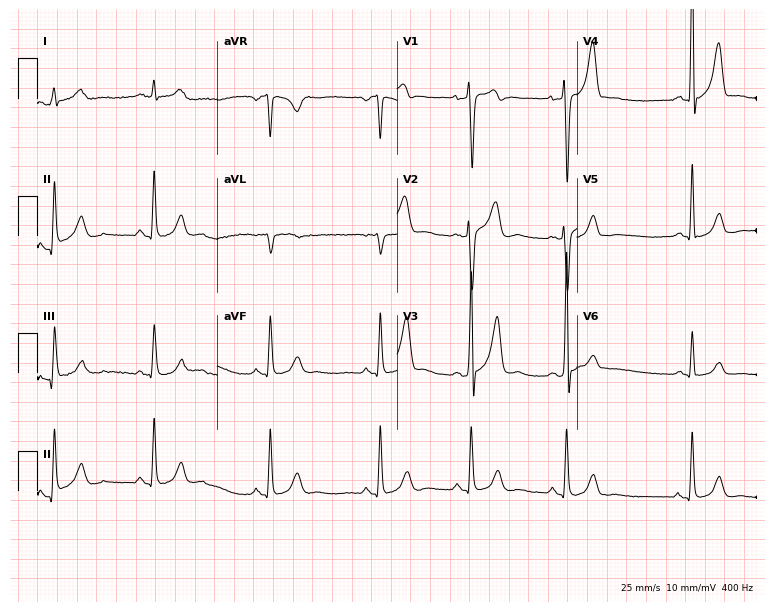
Resting 12-lead electrocardiogram (7.3-second recording at 400 Hz). Patient: a male, 33 years old. None of these six findings is recorded: first-degree AV block, right bundle branch block, left bundle branch block, sinus bradycardia, atrial fibrillation, sinus tachycardia.